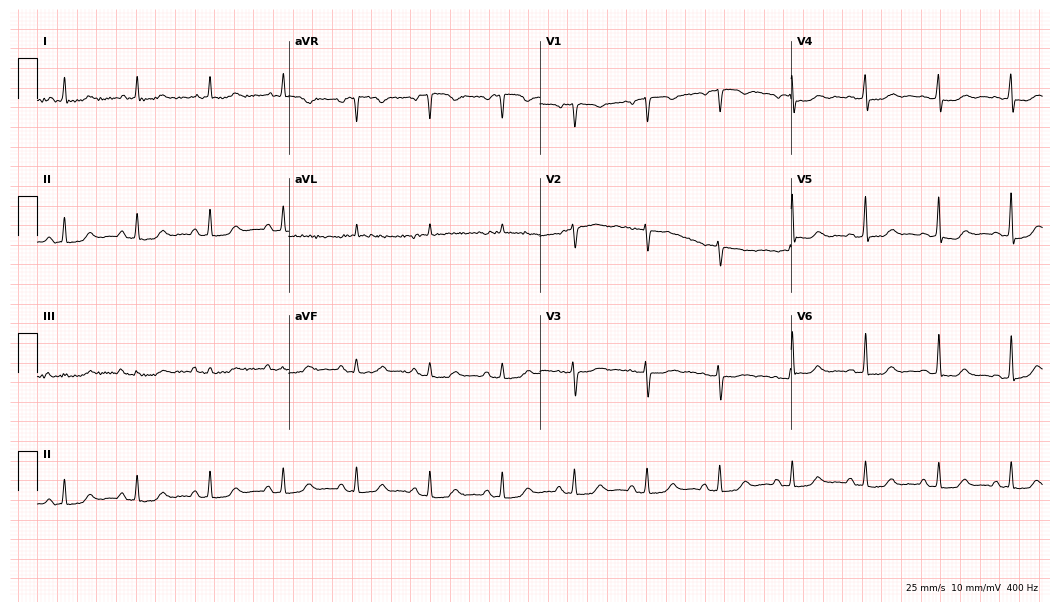
Electrocardiogram (10.2-second recording at 400 Hz), a 75-year-old female. Overall reading on record: normal ECG.